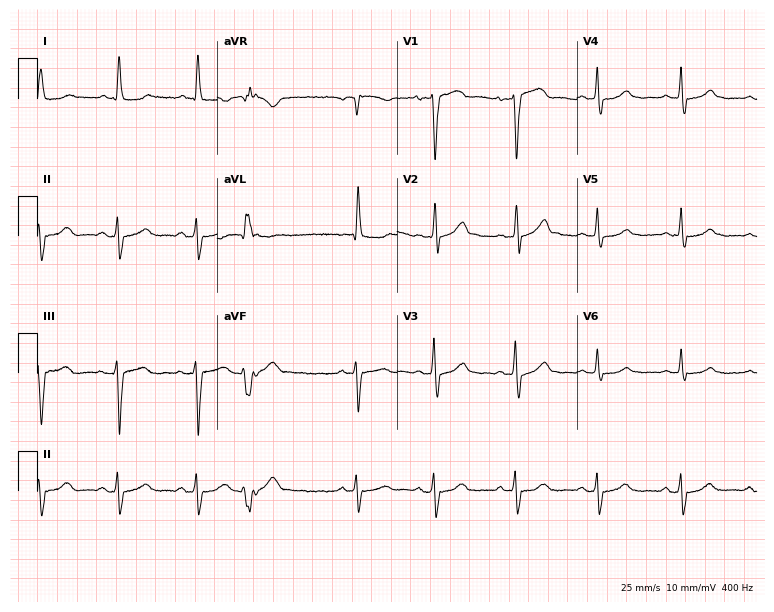
Resting 12-lead electrocardiogram (7.3-second recording at 400 Hz). Patient: a 56-year-old female. None of these six findings is recorded: first-degree AV block, right bundle branch block, left bundle branch block, sinus bradycardia, atrial fibrillation, sinus tachycardia. Findings outside these six are not listed.